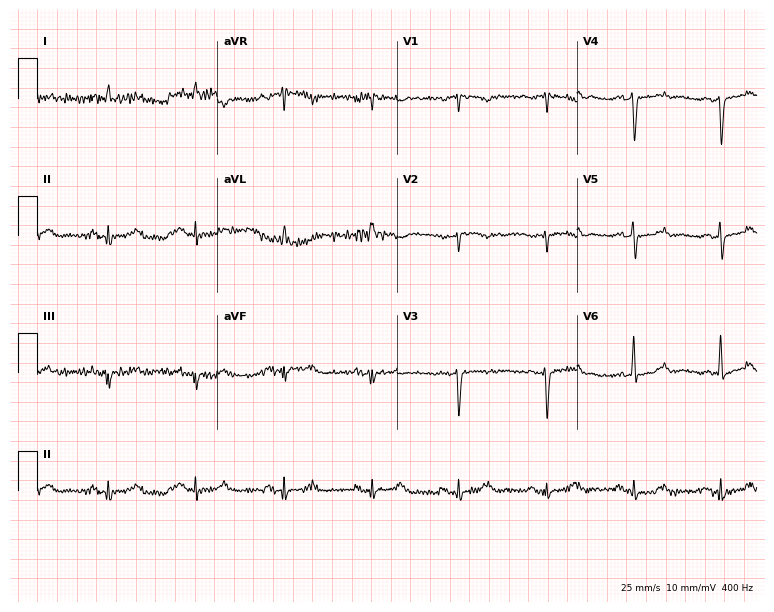
Electrocardiogram, a female, 75 years old. Of the six screened findings (first-degree AV block, right bundle branch block, left bundle branch block, sinus bradycardia, atrial fibrillation, sinus tachycardia), none is recorded.